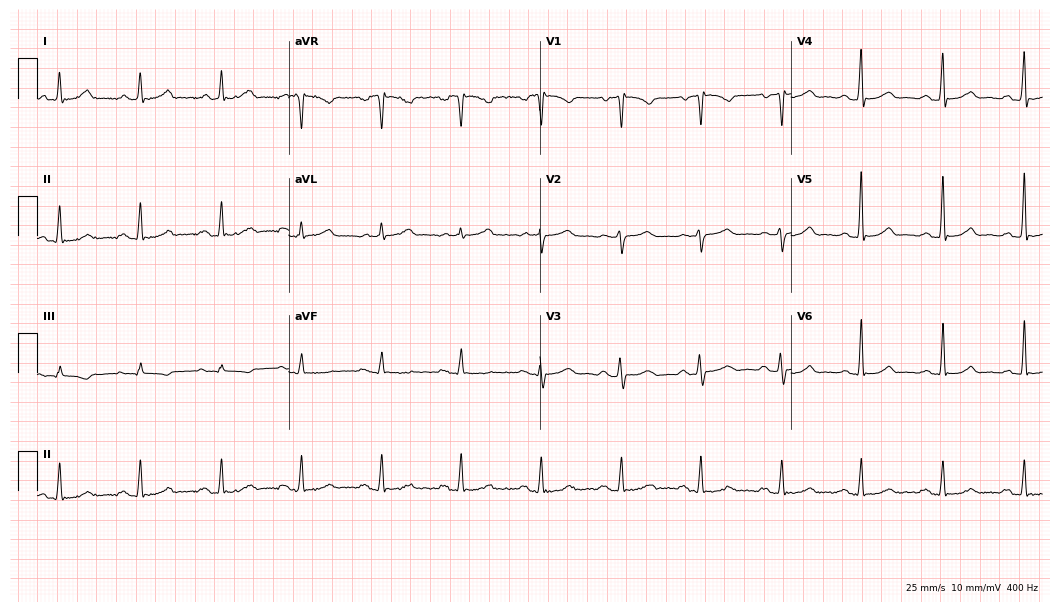
Resting 12-lead electrocardiogram. Patient: a man, 74 years old. Read as a normal ECG.